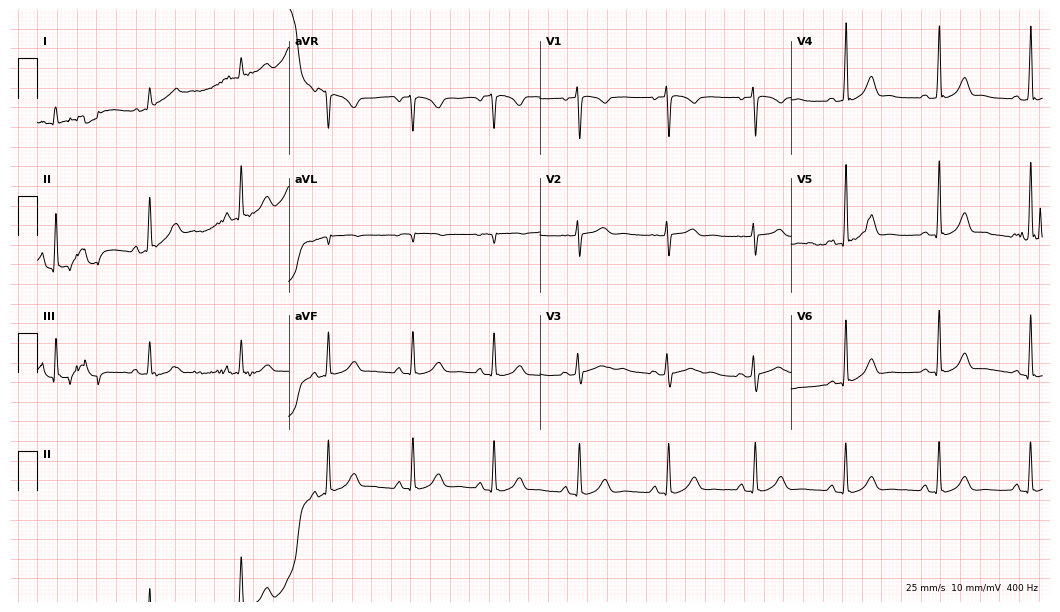
Electrocardiogram, a 30-year-old female. Overall reading on record: normal ECG.